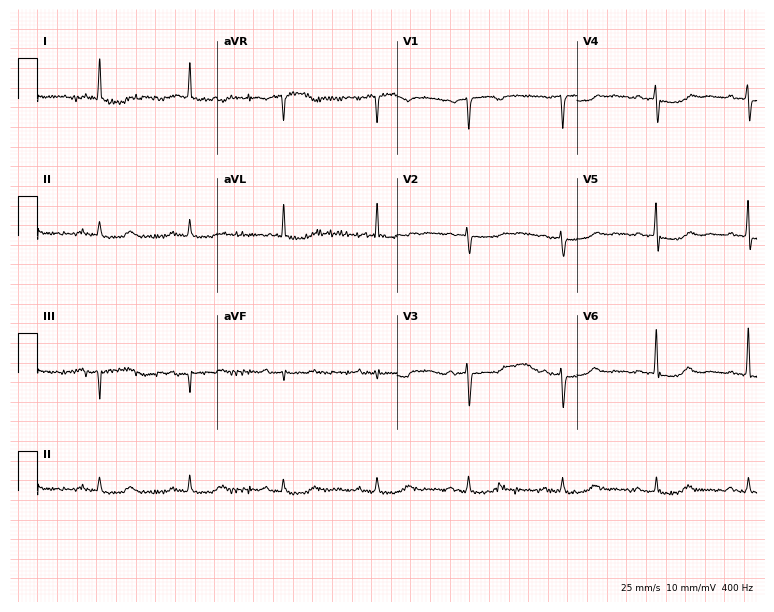
Electrocardiogram (7.3-second recording at 400 Hz), an 83-year-old woman. Of the six screened findings (first-degree AV block, right bundle branch block (RBBB), left bundle branch block (LBBB), sinus bradycardia, atrial fibrillation (AF), sinus tachycardia), none is recorded.